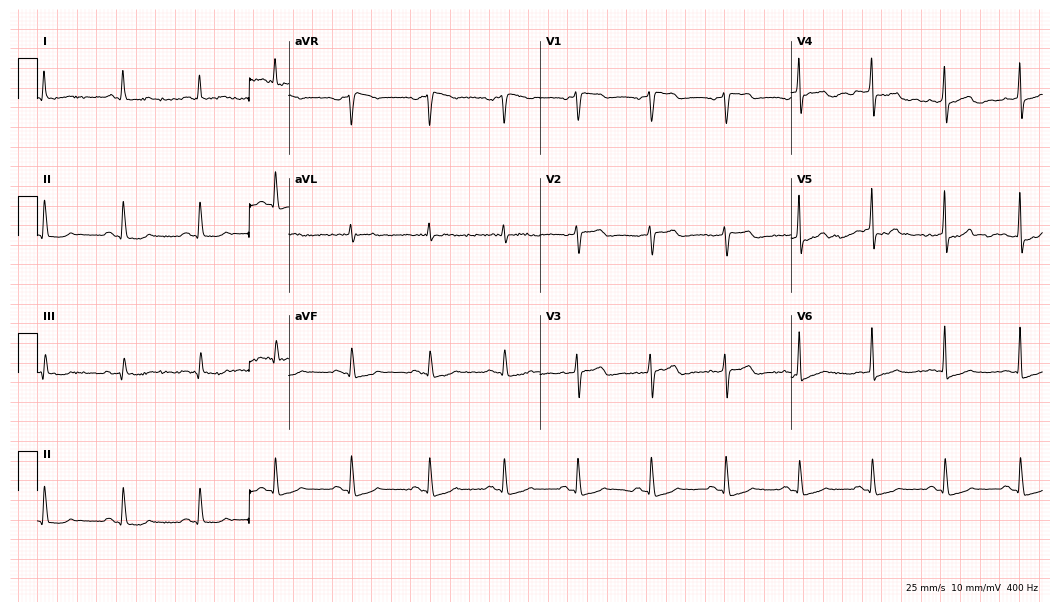
12-lead ECG from a 74-year-old male. No first-degree AV block, right bundle branch block, left bundle branch block, sinus bradycardia, atrial fibrillation or sinus tachycardia recorded for this tracing. Other findings, if any, are not listed.